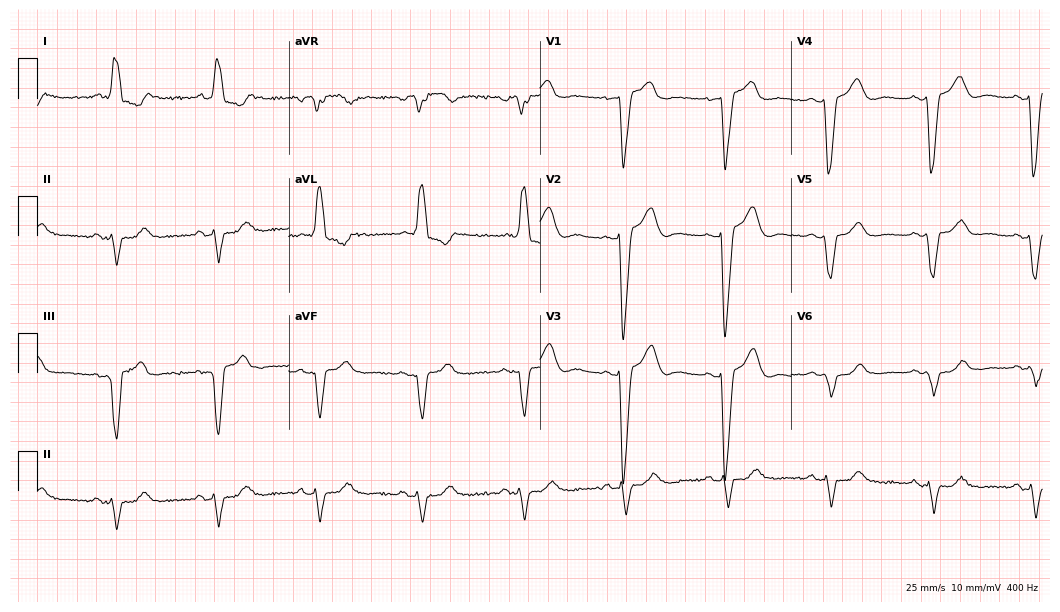
12-lead ECG from an 80-year-old female patient. Findings include left bundle branch block (LBBB).